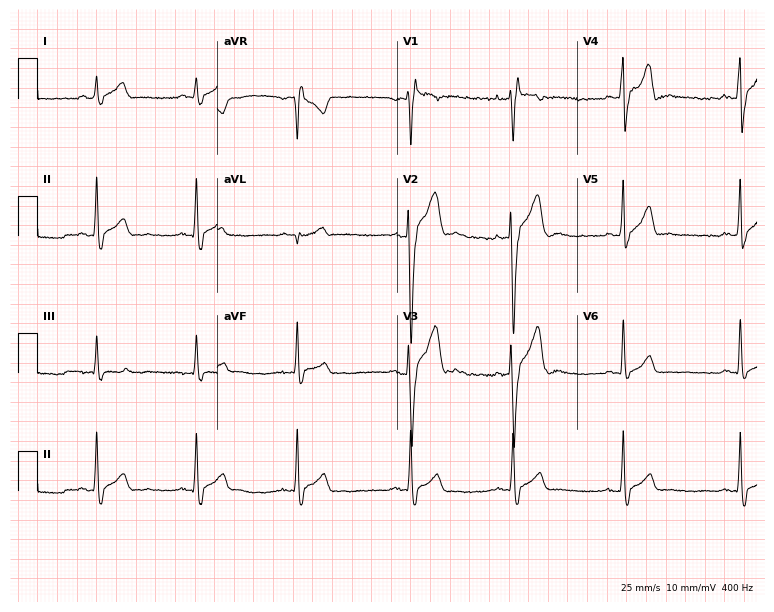
12-lead ECG from a man, 29 years old. Shows right bundle branch block.